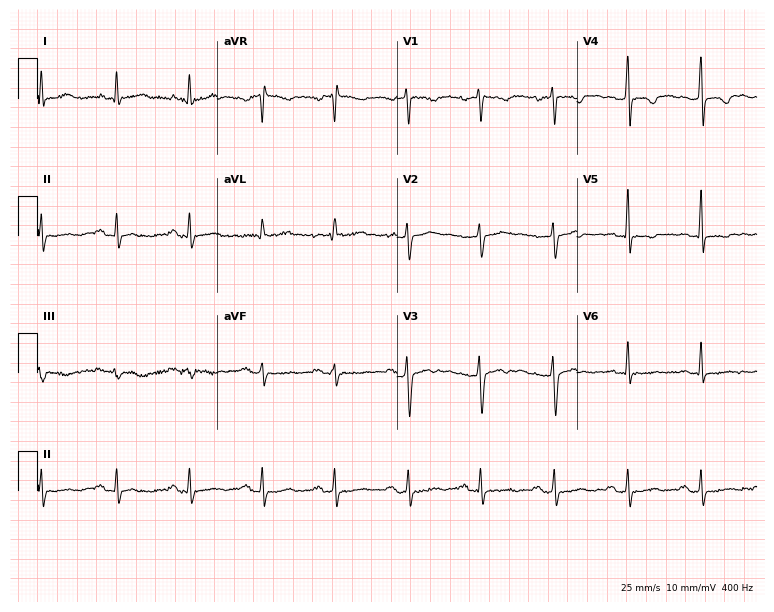
ECG — a 46-year-old female. Screened for six findings — first-degree AV block, right bundle branch block (RBBB), left bundle branch block (LBBB), sinus bradycardia, atrial fibrillation (AF), sinus tachycardia — none is recorded.